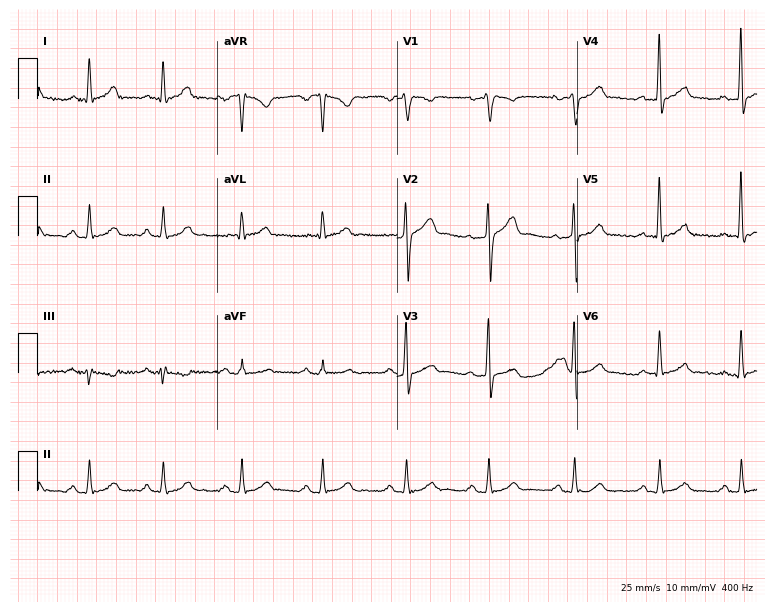
12-lead ECG from a 46-year-old male patient. Recorded interpretation: within normal limits.